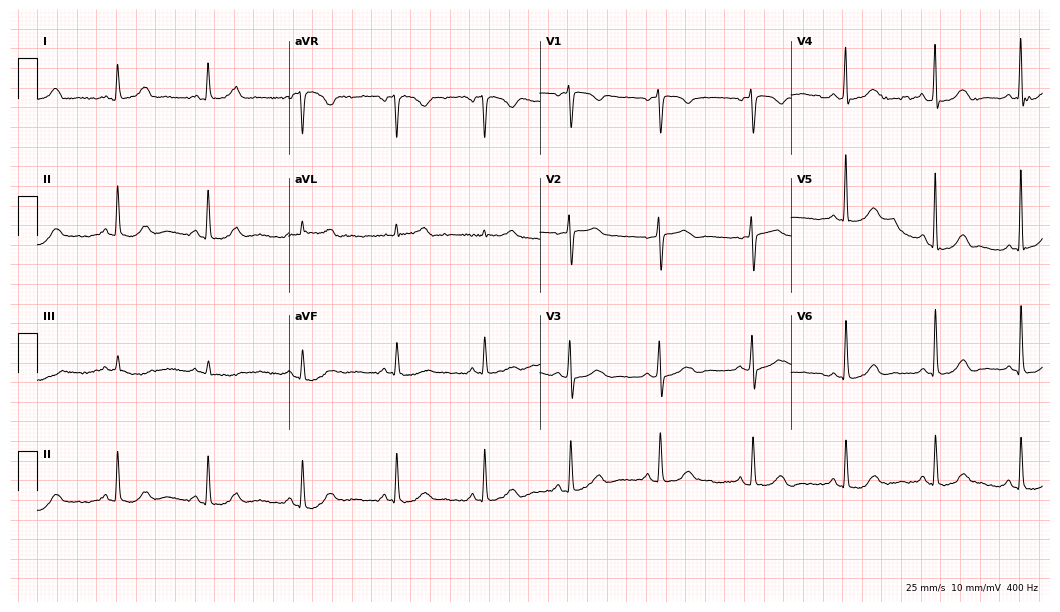
12-lead ECG from a 67-year-old woman. Screened for six findings — first-degree AV block, right bundle branch block (RBBB), left bundle branch block (LBBB), sinus bradycardia, atrial fibrillation (AF), sinus tachycardia — none is recorded. Findings outside these six are not listed.